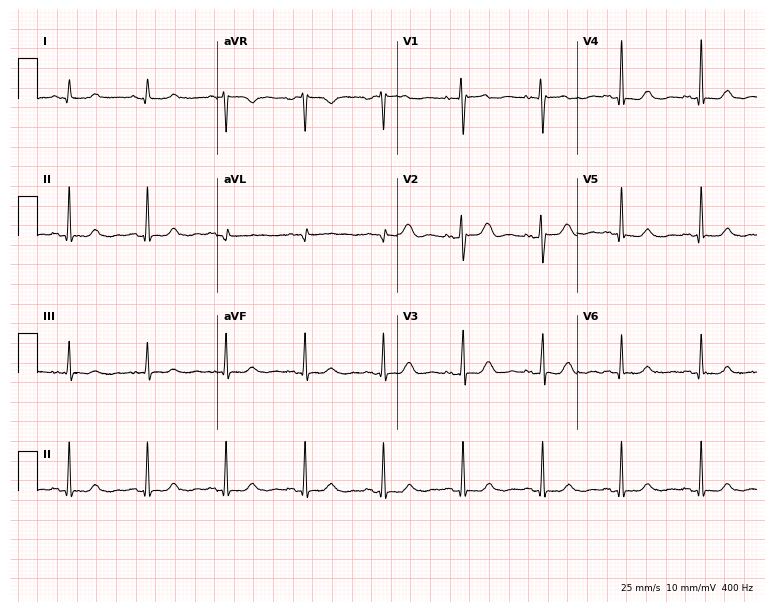
ECG (7.3-second recording at 400 Hz) — a female patient, 65 years old. Labelled as a normal ECG.